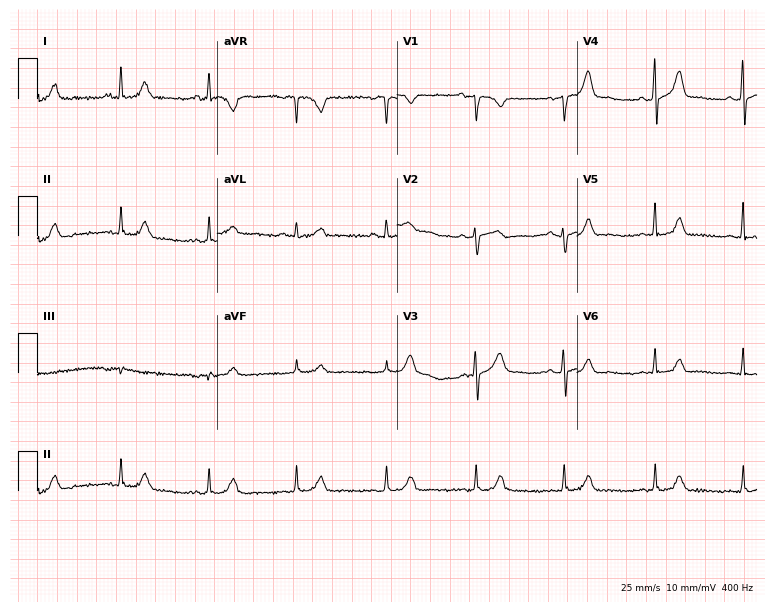
Standard 12-lead ECG recorded from a 48-year-old female. None of these six findings is recorded: first-degree AV block, right bundle branch block, left bundle branch block, sinus bradycardia, atrial fibrillation, sinus tachycardia.